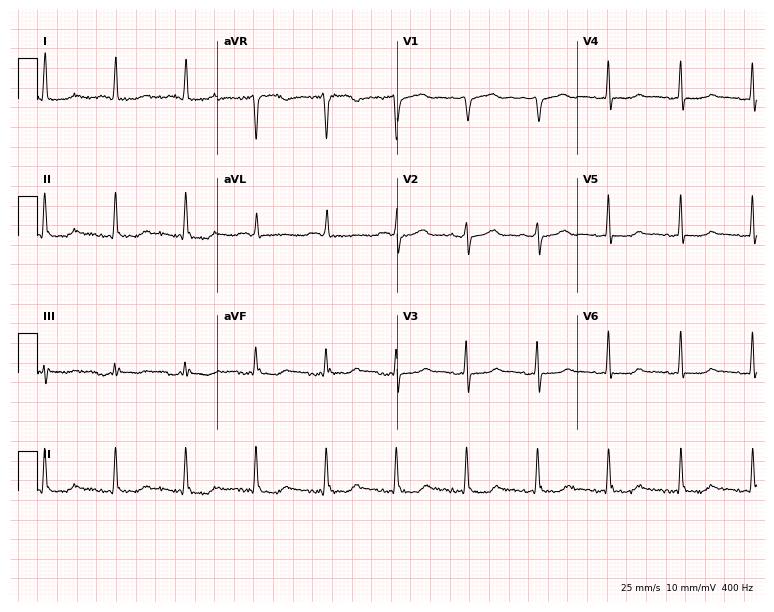
Standard 12-lead ECG recorded from a female patient, 63 years old. None of these six findings is recorded: first-degree AV block, right bundle branch block, left bundle branch block, sinus bradycardia, atrial fibrillation, sinus tachycardia. Other findings, if any, are not listed.